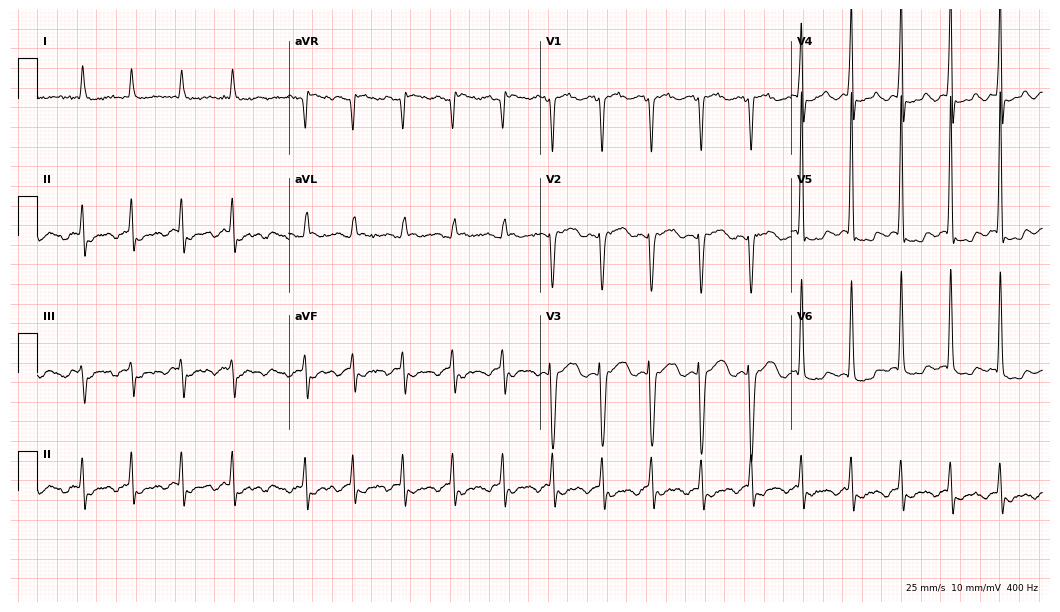
Standard 12-lead ECG recorded from a 75-year-old male. The tracing shows atrial fibrillation (AF).